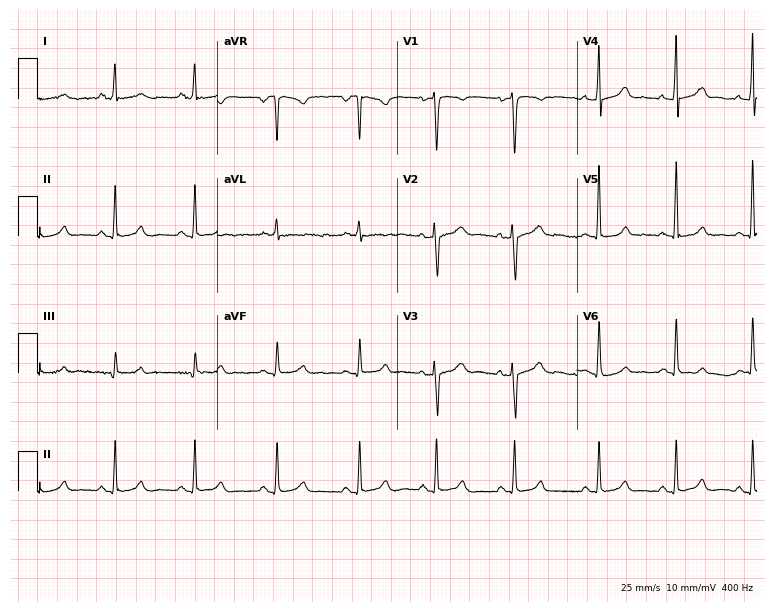
Electrocardiogram, a woman, 27 years old. Overall reading on record: normal ECG.